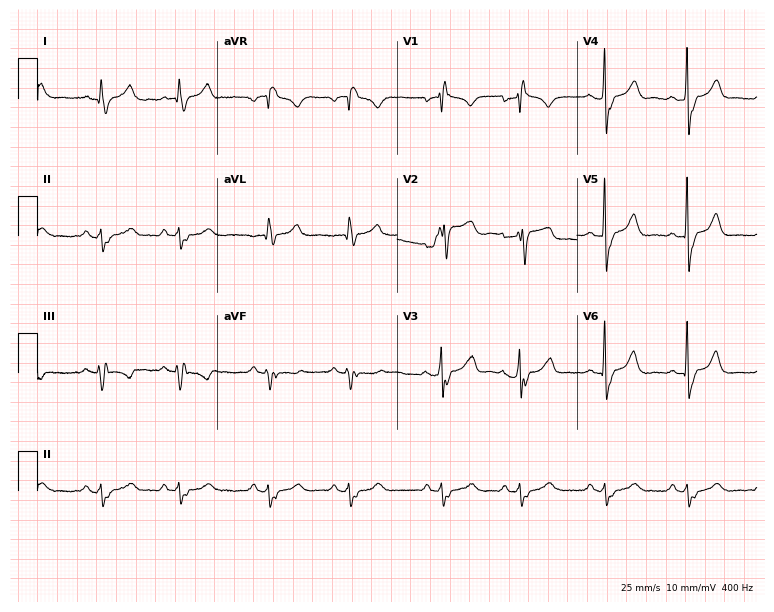
ECG (7.3-second recording at 400 Hz) — a 63-year-old male patient. Findings include right bundle branch block (RBBB).